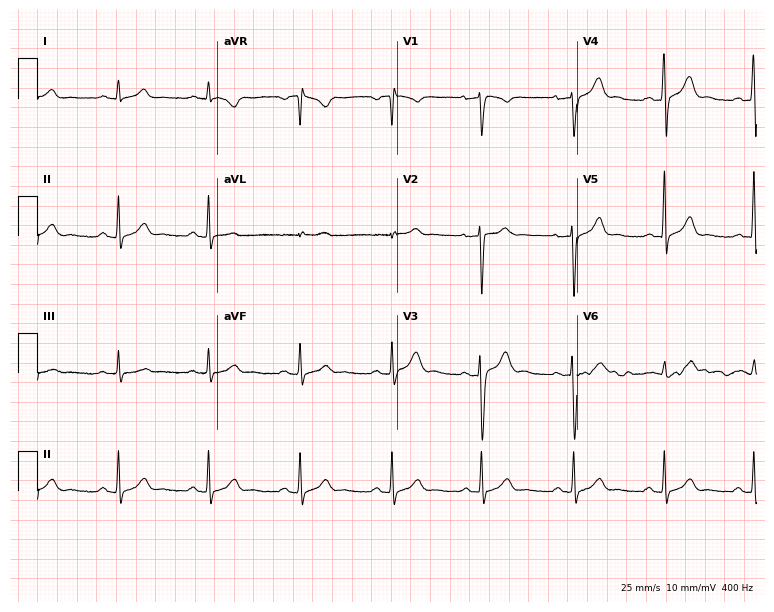
12-lead ECG from a male patient, 49 years old. Screened for six findings — first-degree AV block, right bundle branch block, left bundle branch block, sinus bradycardia, atrial fibrillation, sinus tachycardia — none is recorded. Only these six findings were labelled.